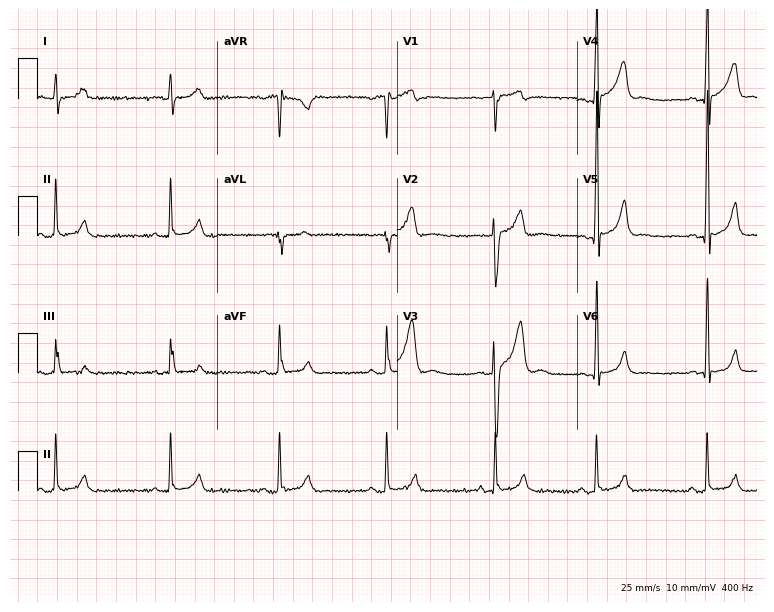
Resting 12-lead electrocardiogram (7.3-second recording at 400 Hz). Patient: a 28-year-old man. Read as a normal ECG.